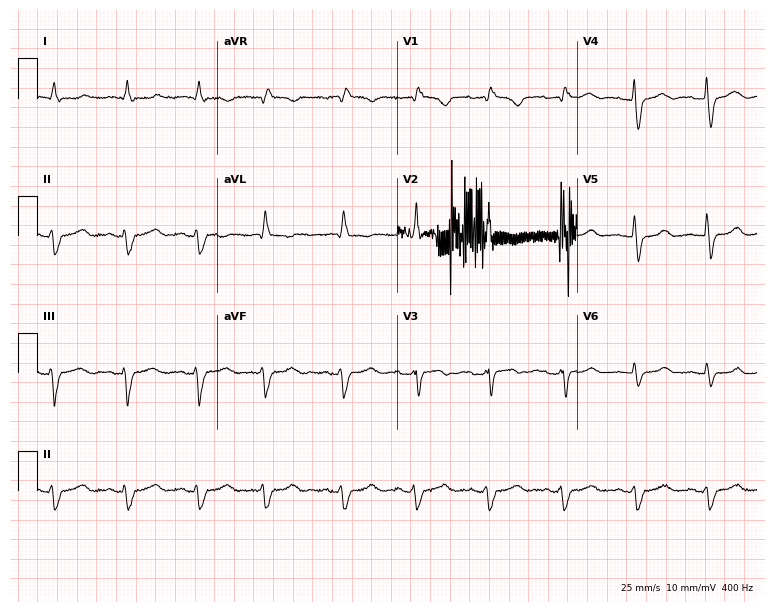
12-lead ECG (7.3-second recording at 400 Hz) from a 55-year-old woman. Findings include right bundle branch block (RBBB).